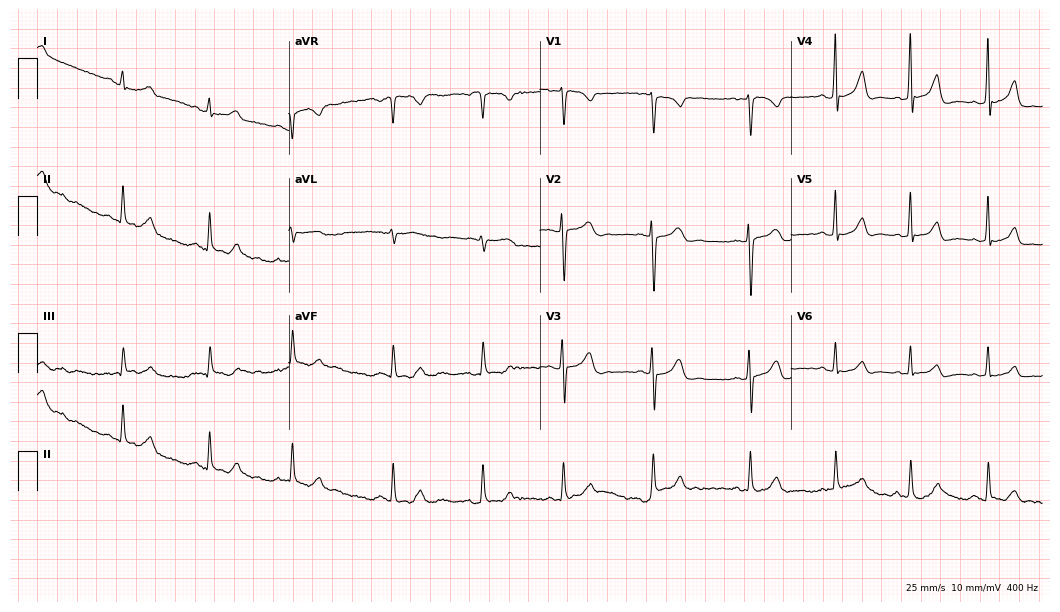
12-lead ECG (10.2-second recording at 400 Hz) from a female patient, 17 years old. Labelled as a normal ECG.